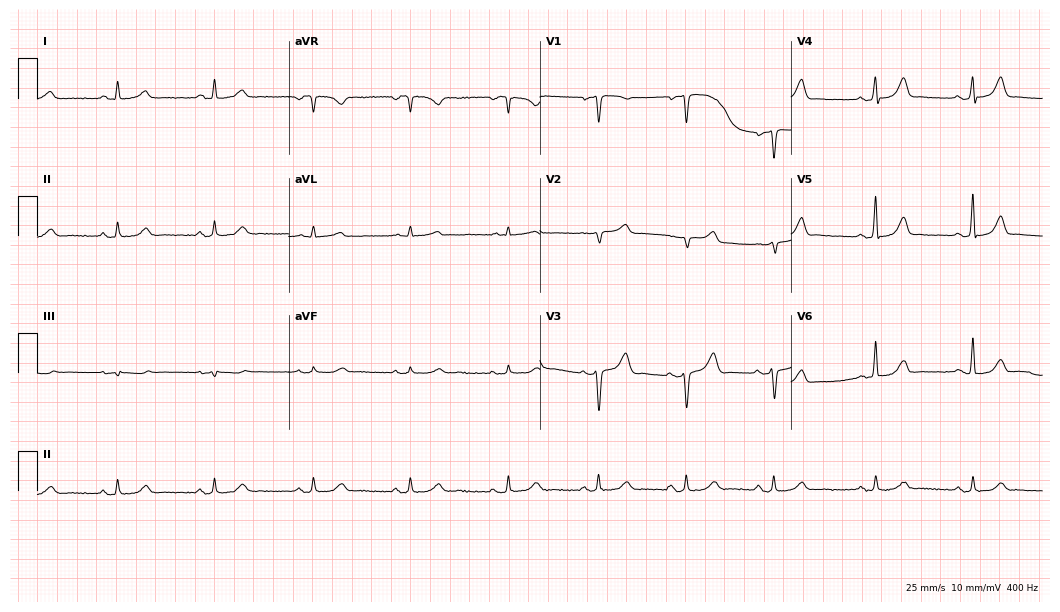
Resting 12-lead electrocardiogram. Patient: a 51-year-old woman. None of these six findings is recorded: first-degree AV block, right bundle branch block, left bundle branch block, sinus bradycardia, atrial fibrillation, sinus tachycardia.